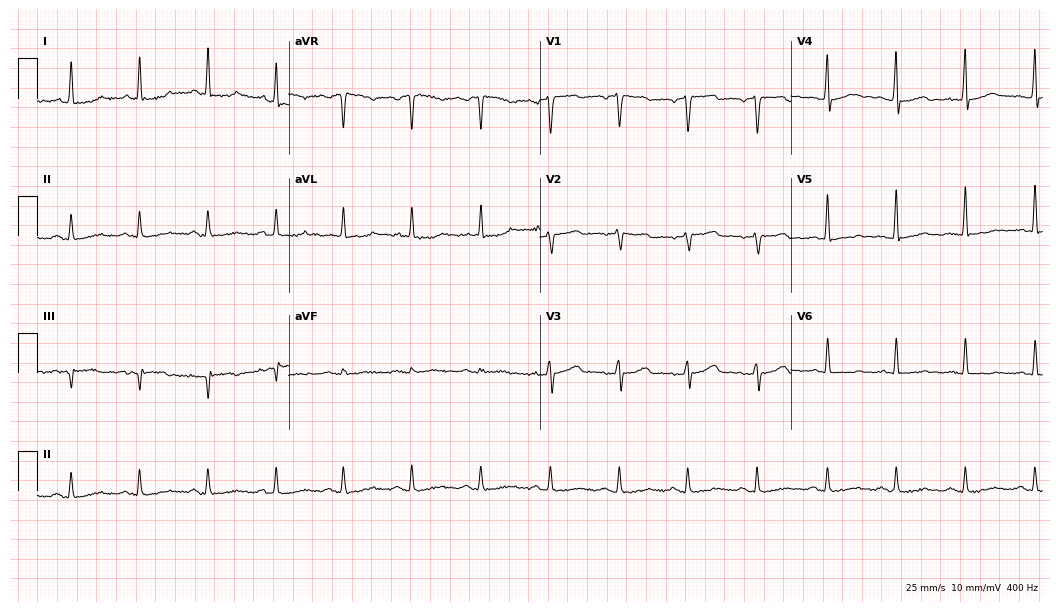
Resting 12-lead electrocardiogram. Patient: a female, 44 years old. Read as a normal ECG.